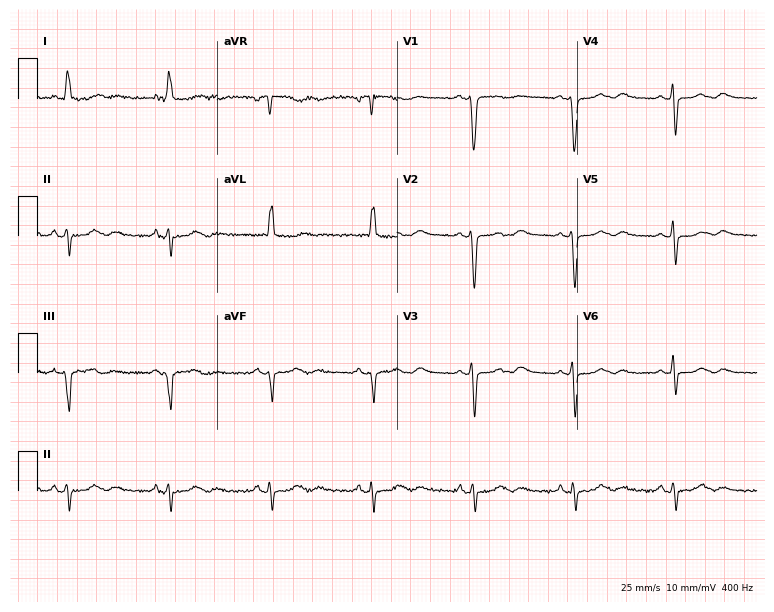
12-lead ECG (7.3-second recording at 400 Hz) from a 51-year-old woman. Screened for six findings — first-degree AV block, right bundle branch block, left bundle branch block, sinus bradycardia, atrial fibrillation, sinus tachycardia — none is recorded. Only these six findings were labelled.